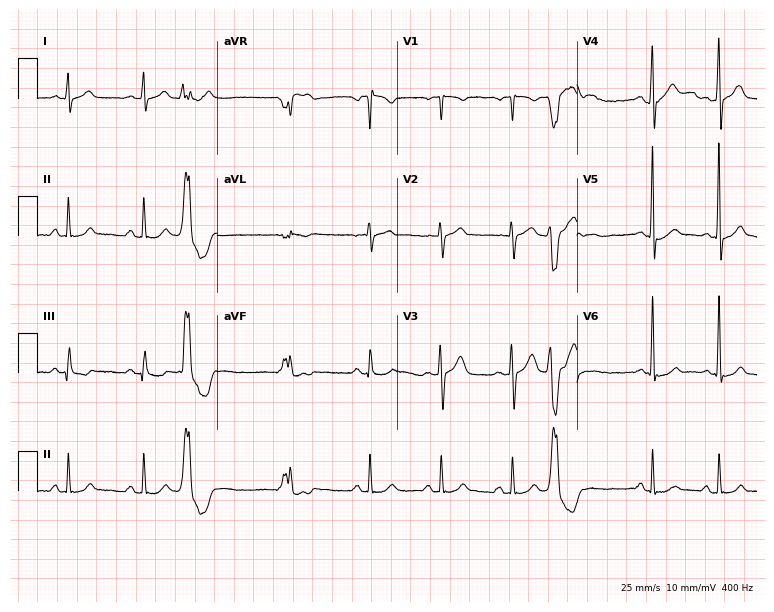
Electrocardiogram, a male, 59 years old. Overall reading on record: normal ECG.